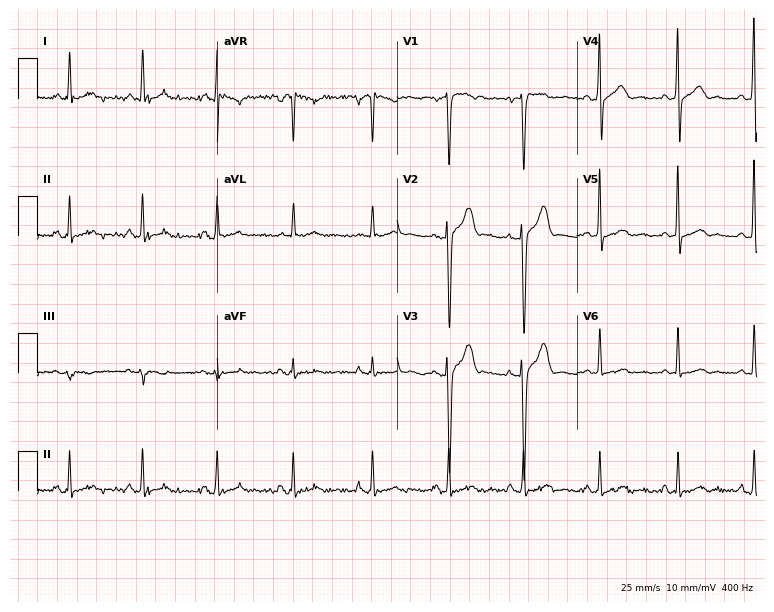
Resting 12-lead electrocardiogram (7.3-second recording at 400 Hz). Patient: a 28-year-old male. Read as a normal ECG.